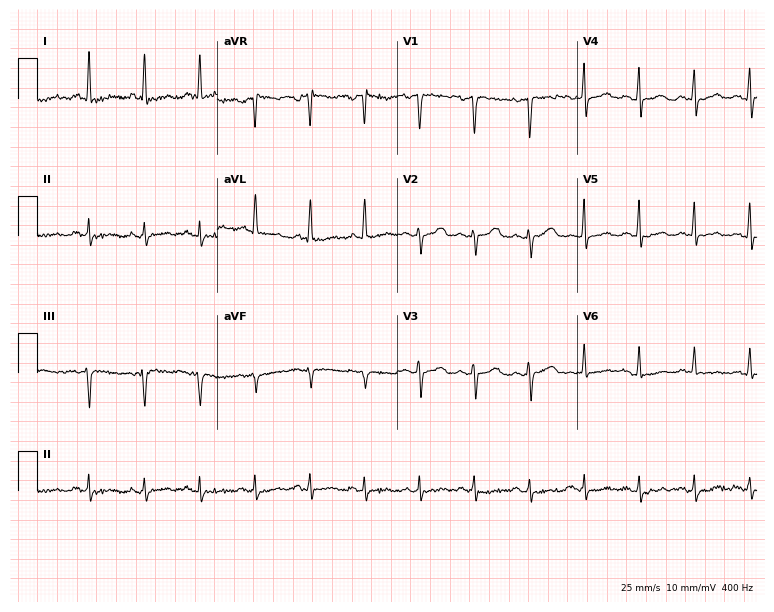
ECG — a female, 35 years old. Findings include sinus tachycardia (a sinus rate of 100 beats per minute or more).